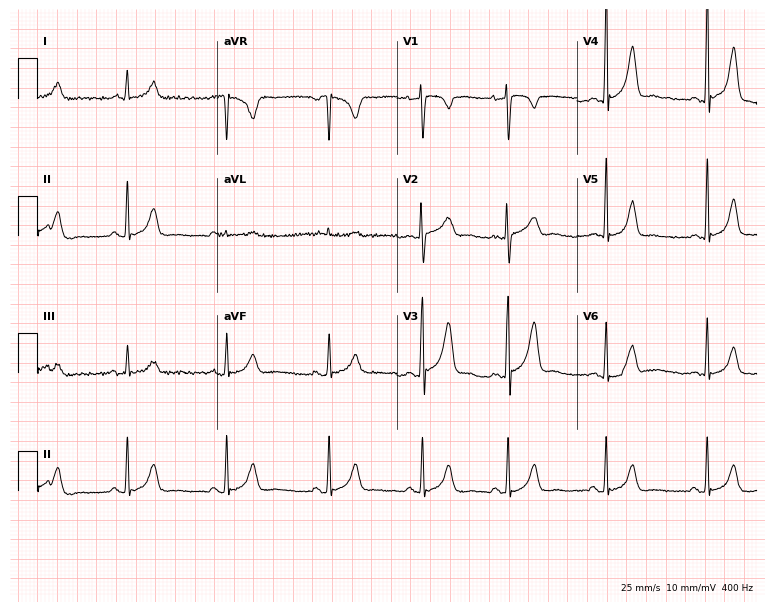
Resting 12-lead electrocardiogram. Patient: a 24-year-old female. Read as a normal ECG.